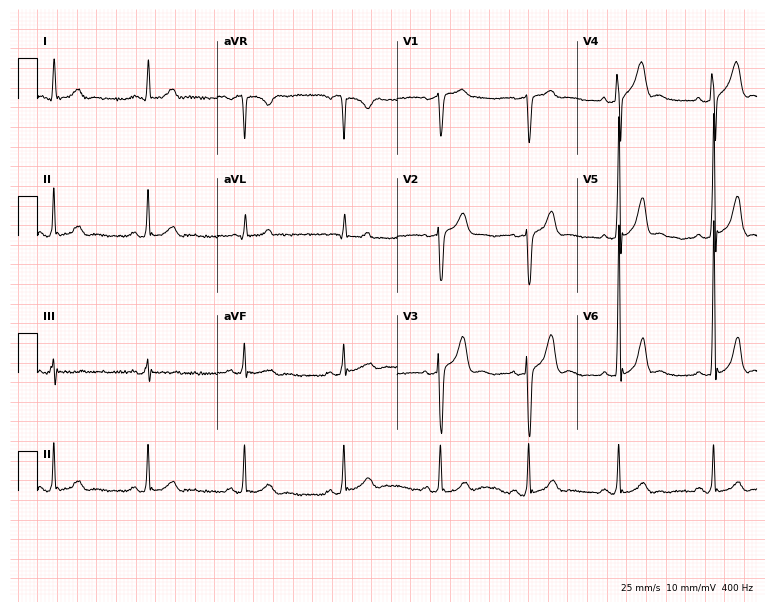
12-lead ECG from a 43-year-old male patient. No first-degree AV block, right bundle branch block, left bundle branch block, sinus bradycardia, atrial fibrillation or sinus tachycardia recorded for this tracing. Only these six findings were labelled.